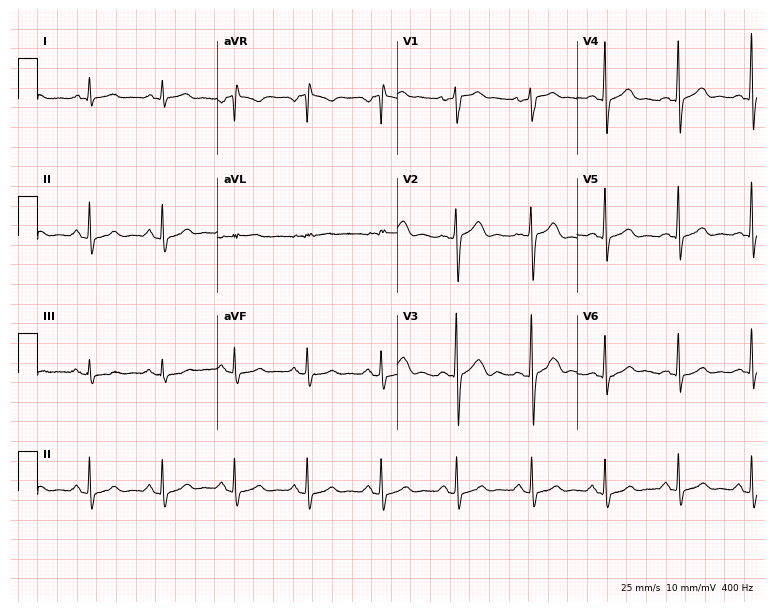
Standard 12-lead ECG recorded from a male, 53 years old. Read as a normal ECG.